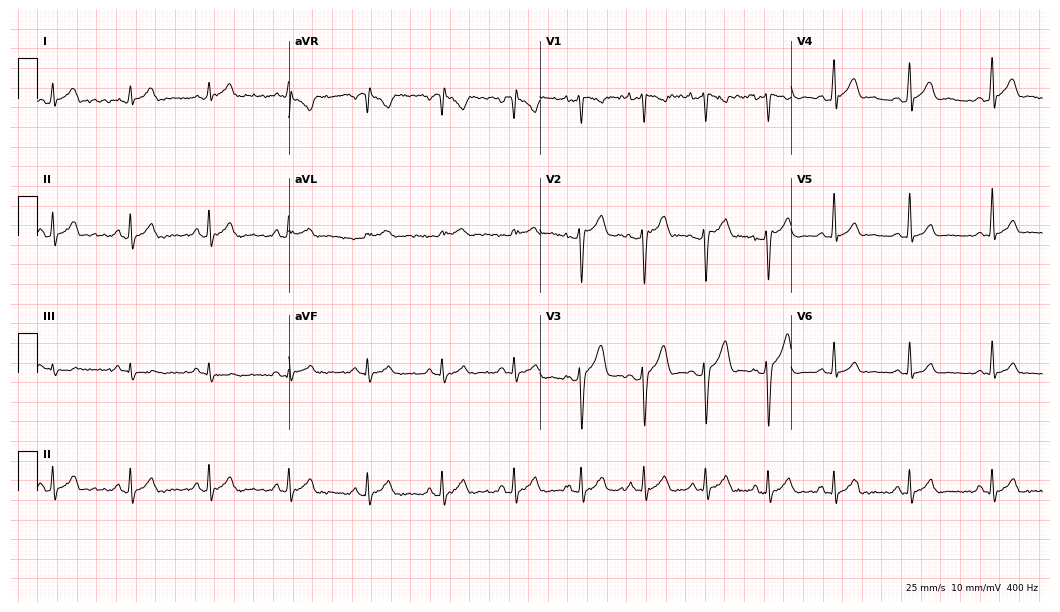
12-lead ECG from a 31-year-old male. Recorded interpretation: within normal limits.